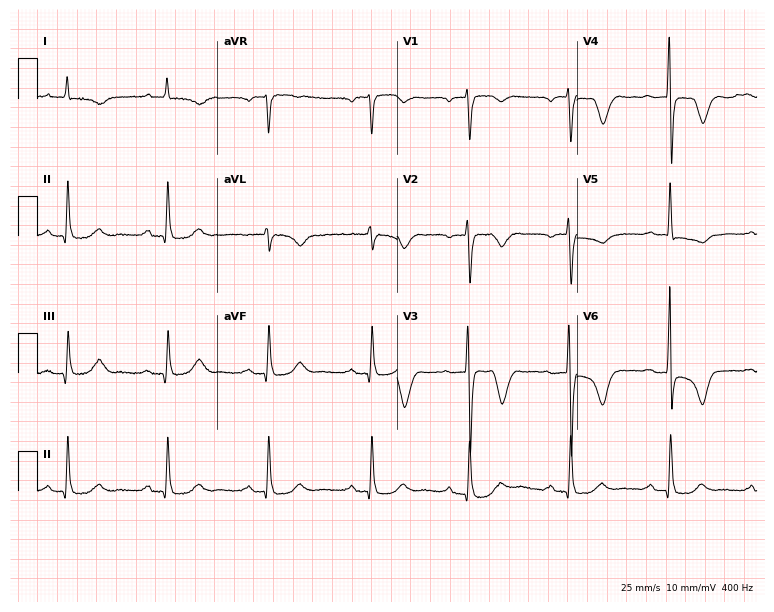
Resting 12-lead electrocardiogram (7.3-second recording at 400 Hz). Patient: a 77-year-old male. The tracing shows first-degree AV block.